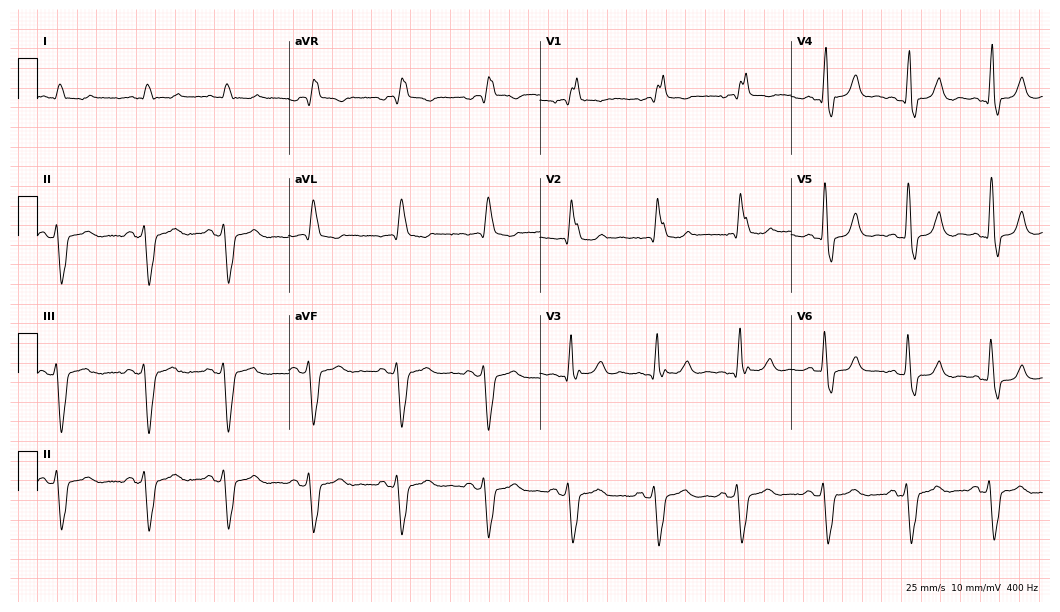
Standard 12-lead ECG recorded from a male patient, 86 years old (10.2-second recording at 400 Hz). None of these six findings is recorded: first-degree AV block, right bundle branch block (RBBB), left bundle branch block (LBBB), sinus bradycardia, atrial fibrillation (AF), sinus tachycardia.